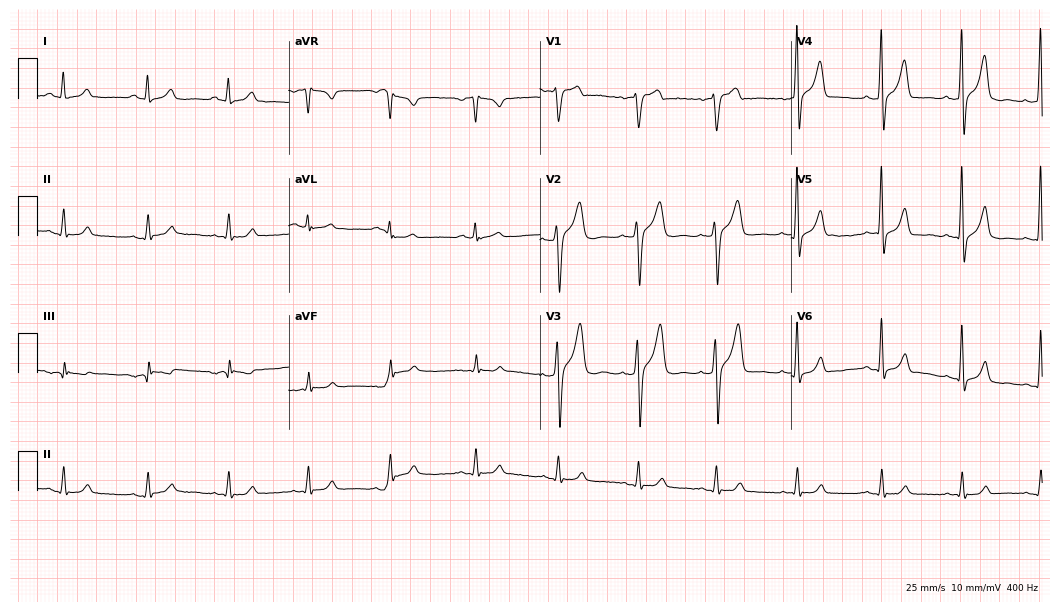
12-lead ECG from a 31-year-old male. No first-degree AV block, right bundle branch block (RBBB), left bundle branch block (LBBB), sinus bradycardia, atrial fibrillation (AF) or sinus tachycardia recorded for this tracing.